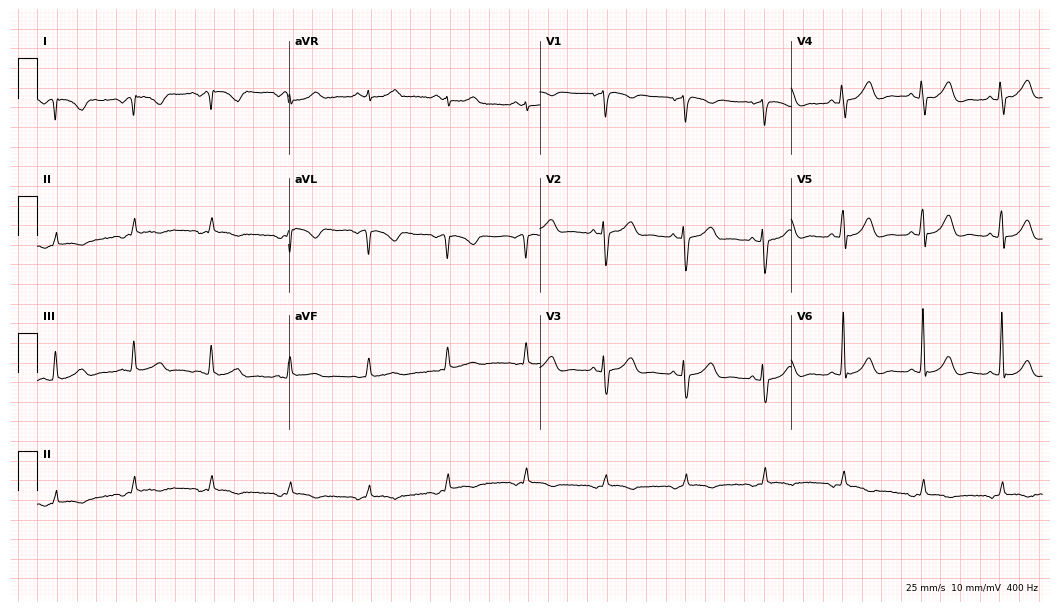
12-lead ECG (10.2-second recording at 400 Hz) from a female patient, 52 years old. Screened for six findings — first-degree AV block, right bundle branch block (RBBB), left bundle branch block (LBBB), sinus bradycardia, atrial fibrillation (AF), sinus tachycardia — none is recorded.